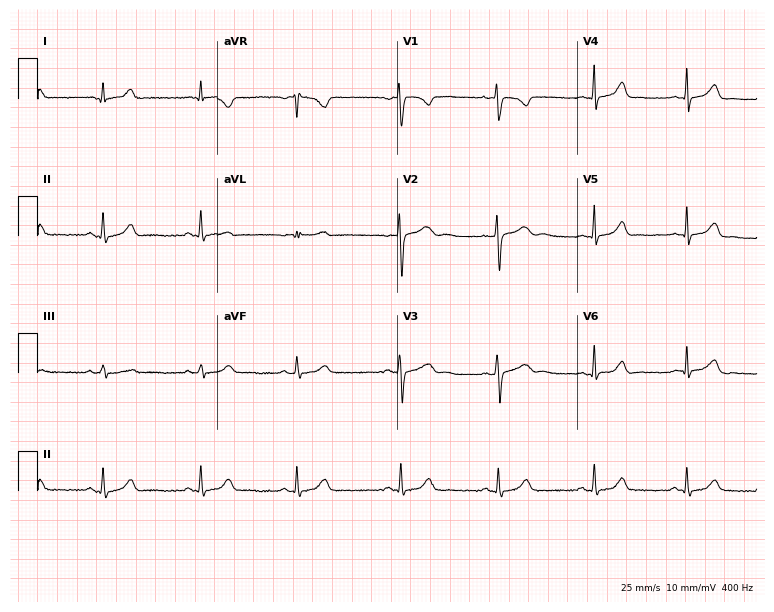
12-lead ECG from a female, 25 years old (7.3-second recording at 400 Hz). Recorded interpretation: within normal limits.